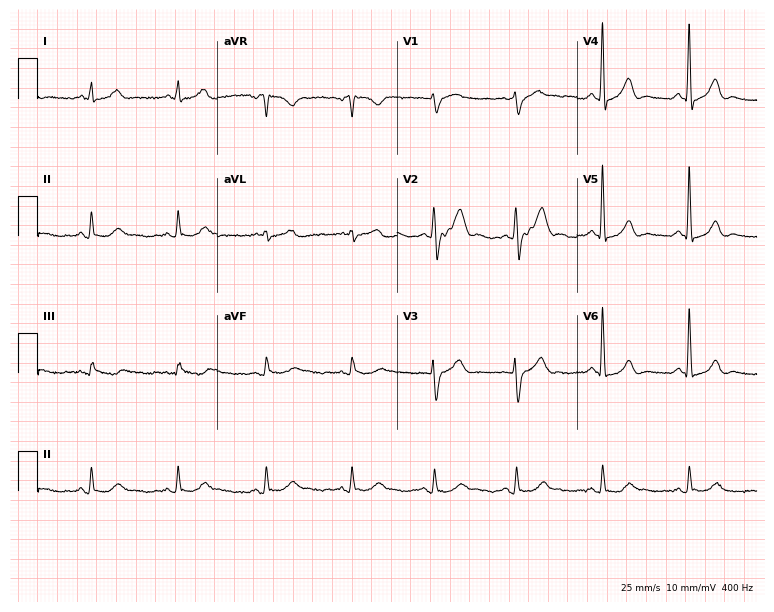
12-lead ECG from a 29-year-old male (7.3-second recording at 400 Hz). No first-degree AV block, right bundle branch block, left bundle branch block, sinus bradycardia, atrial fibrillation or sinus tachycardia recorded for this tracing. Other findings, if any, are not listed.